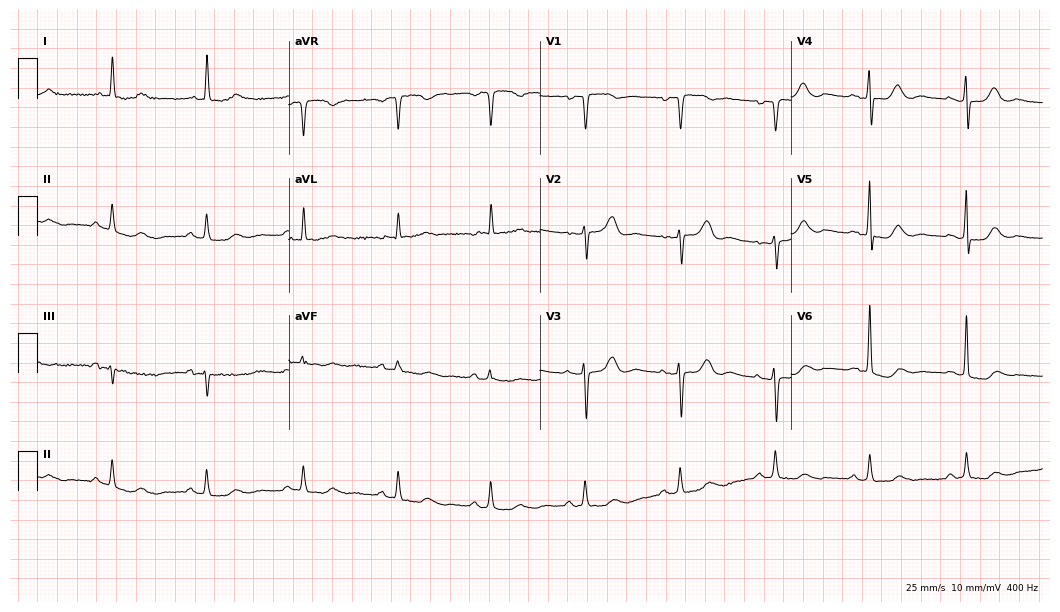
Electrocardiogram, a woman, 81 years old. Of the six screened findings (first-degree AV block, right bundle branch block, left bundle branch block, sinus bradycardia, atrial fibrillation, sinus tachycardia), none is recorded.